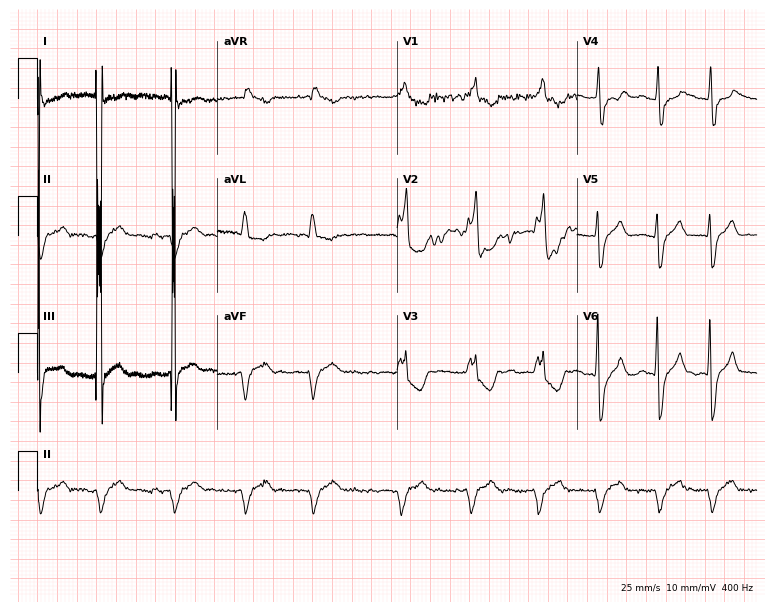
12-lead ECG (7.3-second recording at 400 Hz) from a male patient, 75 years old. Findings include right bundle branch block (RBBB), atrial fibrillation (AF).